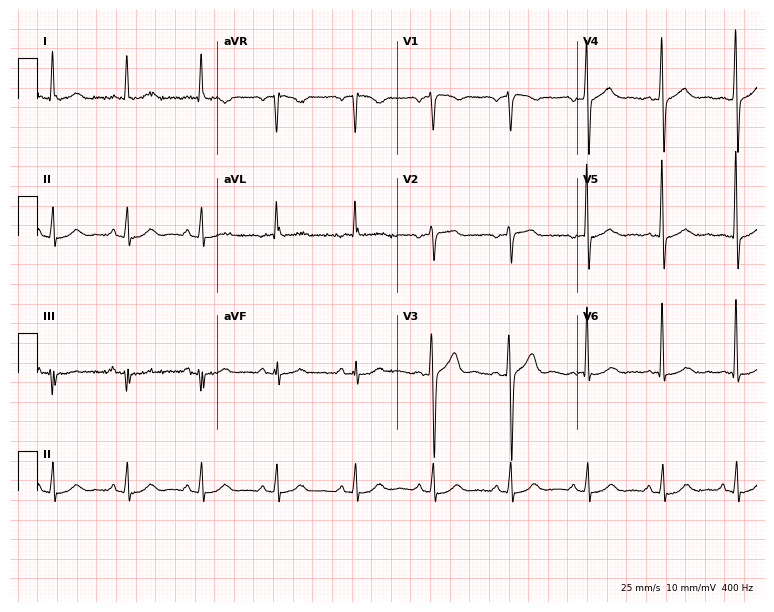
ECG — a 72-year-old man. Labelled as a normal ECG.